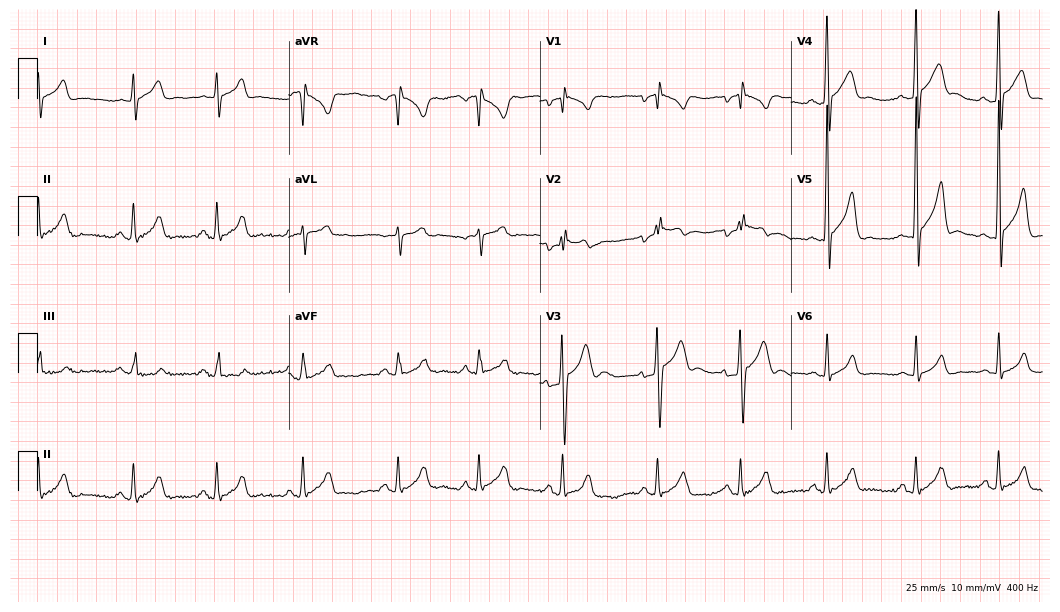
Electrocardiogram (10.2-second recording at 400 Hz), a man, 20 years old. Of the six screened findings (first-degree AV block, right bundle branch block, left bundle branch block, sinus bradycardia, atrial fibrillation, sinus tachycardia), none is recorded.